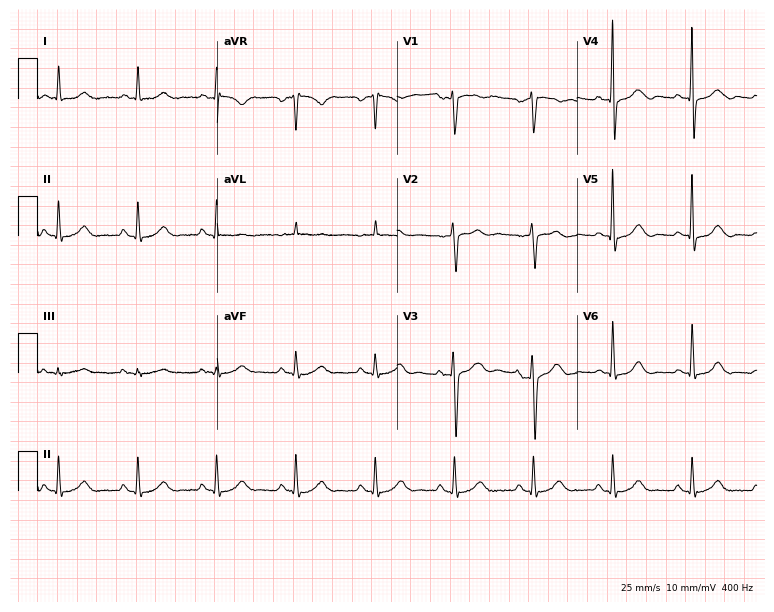
Electrocardiogram (7.3-second recording at 400 Hz), a male patient, 62 years old. Overall reading on record: normal ECG.